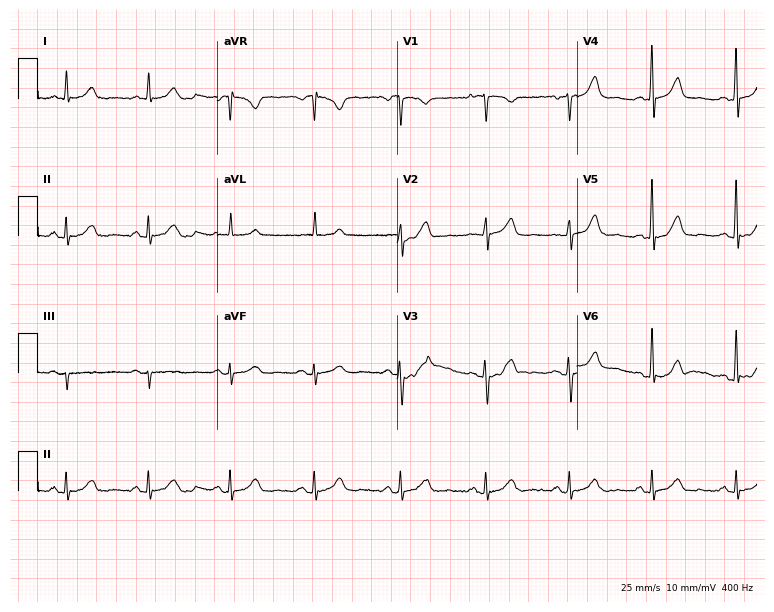
ECG — a 53-year-old female patient. Labelled as a normal ECG.